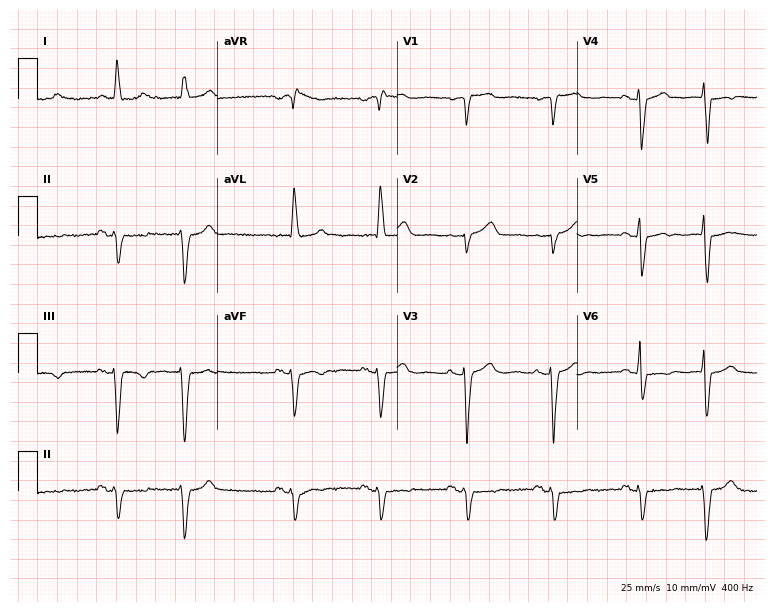
Electrocardiogram (7.3-second recording at 400 Hz), a 78-year-old female patient. Of the six screened findings (first-degree AV block, right bundle branch block, left bundle branch block, sinus bradycardia, atrial fibrillation, sinus tachycardia), none is recorded. Findings outside these six are not listed.